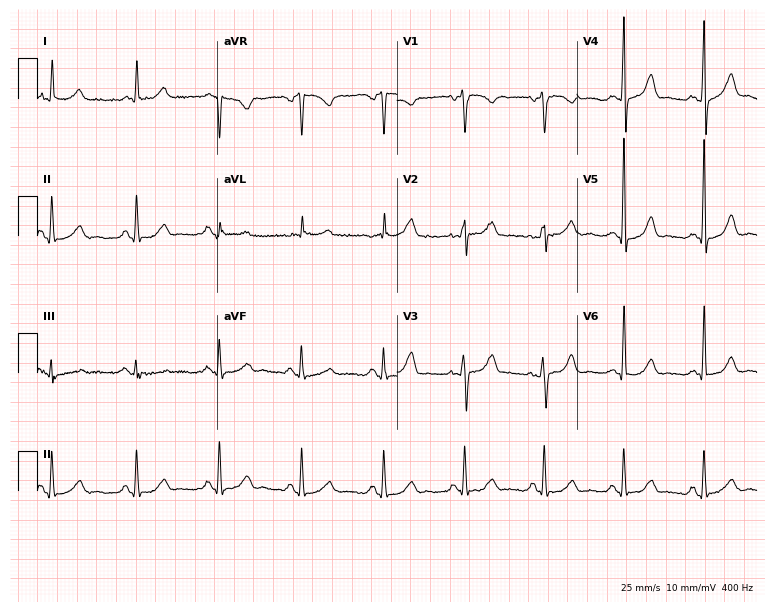
12-lead ECG from a 62-year-old man. Labelled as a normal ECG.